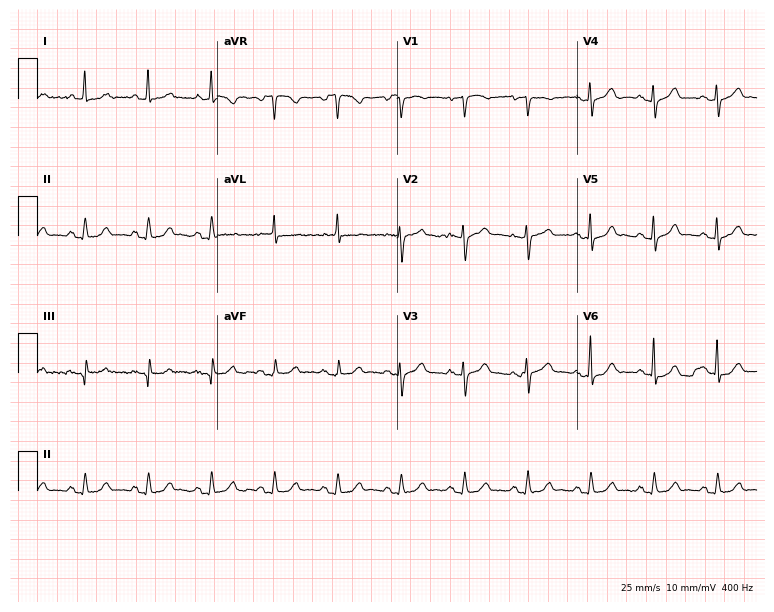
12-lead ECG (7.3-second recording at 400 Hz) from a man, 85 years old. Labelled as a normal ECG.